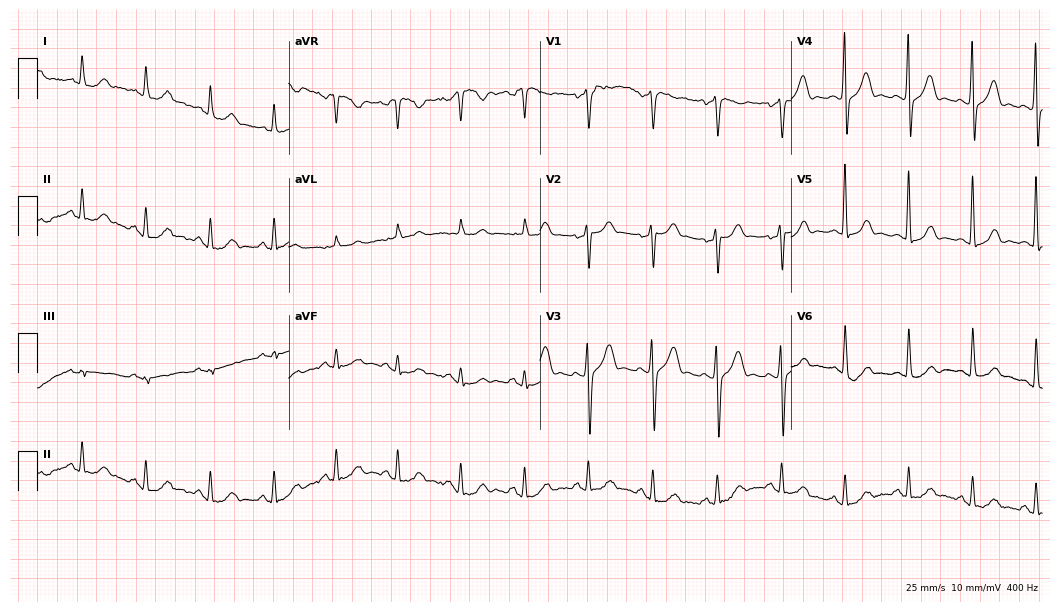
12-lead ECG (10.2-second recording at 400 Hz) from a 45-year-old male patient. Labelled as a normal ECG.